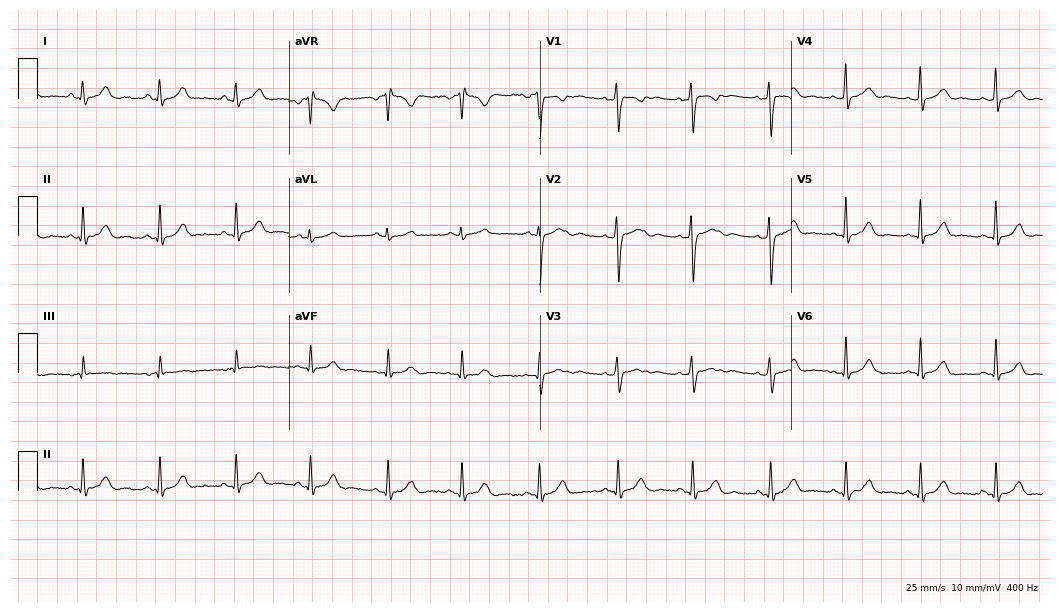
Standard 12-lead ECG recorded from a woman, 24 years old (10.2-second recording at 400 Hz). Read as a normal ECG.